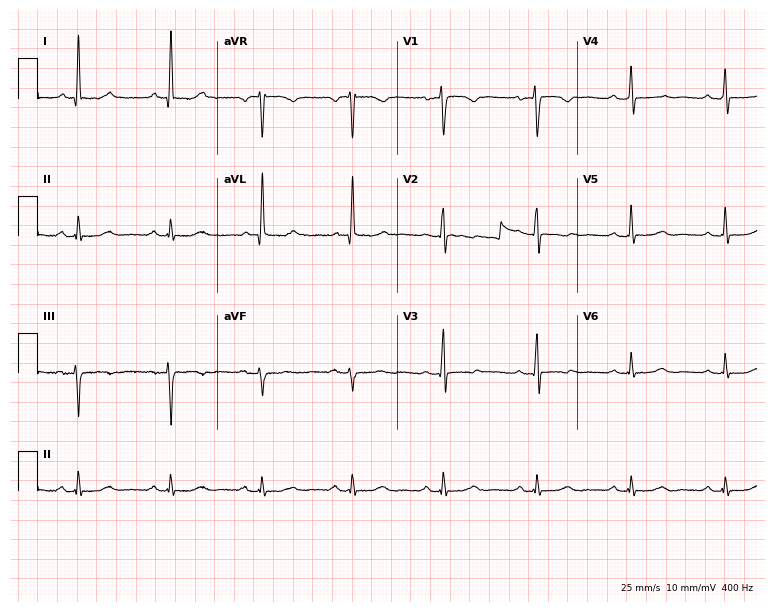
12-lead ECG from a 71-year-old female. Recorded interpretation: within normal limits.